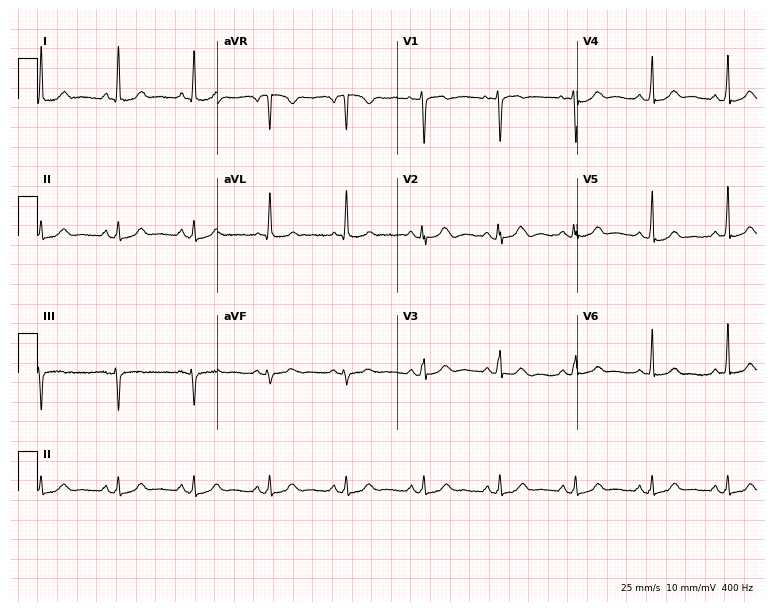
12-lead ECG (7.3-second recording at 400 Hz) from a 42-year-old woman. Screened for six findings — first-degree AV block, right bundle branch block (RBBB), left bundle branch block (LBBB), sinus bradycardia, atrial fibrillation (AF), sinus tachycardia — none is recorded.